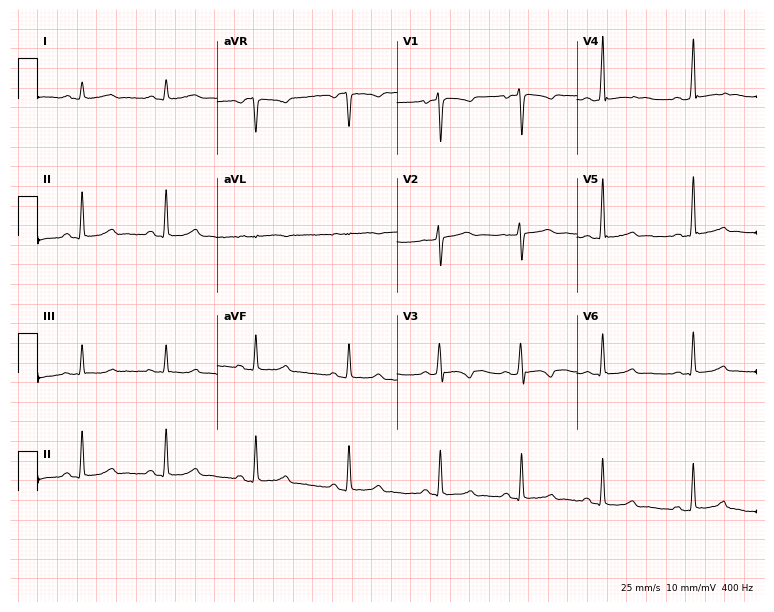
Electrocardiogram, a 29-year-old woman. Of the six screened findings (first-degree AV block, right bundle branch block, left bundle branch block, sinus bradycardia, atrial fibrillation, sinus tachycardia), none is recorded. Other findings, if any, are not listed.